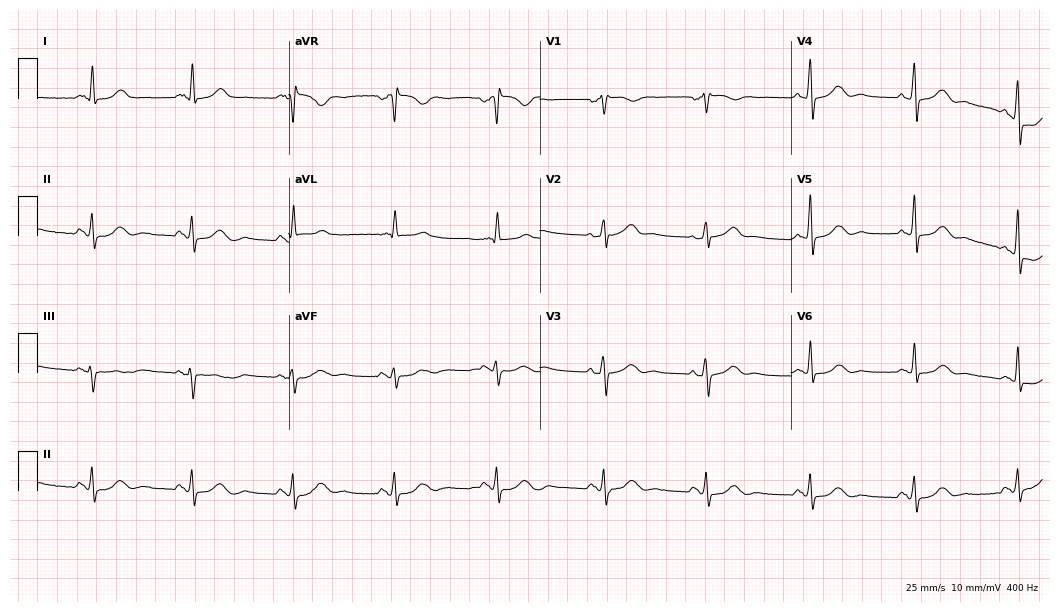
Resting 12-lead electrocardiogram (10.2-second recording at 400 Hz). Patient: a 62-year-old female. Read as a normal ECG.